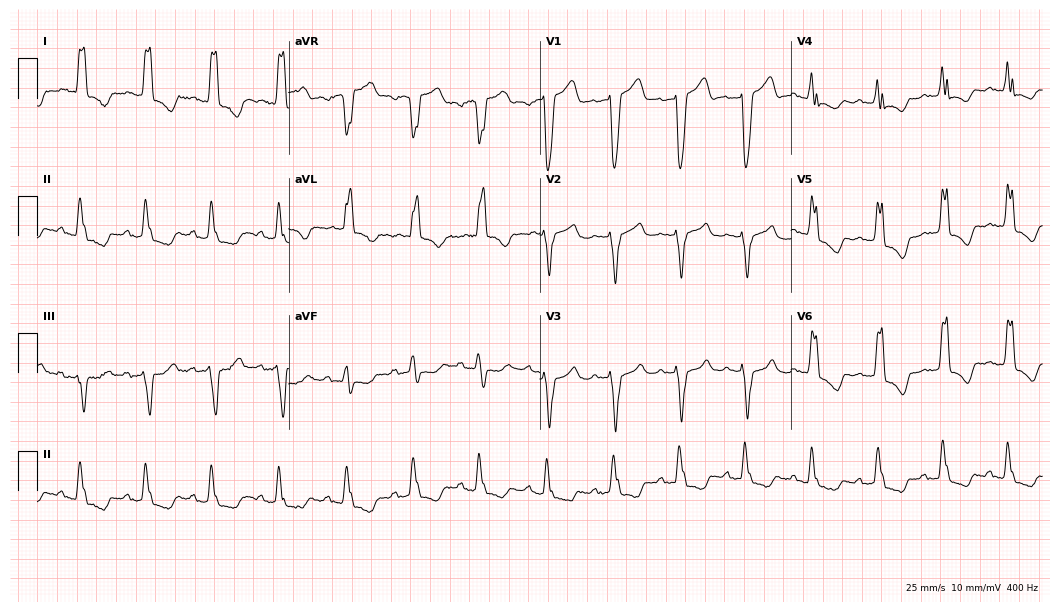
Electrocardiogram (10.2-second recording at 400 Hz), a female patient, 73 years old. Interpretation includes left bundle branch block.